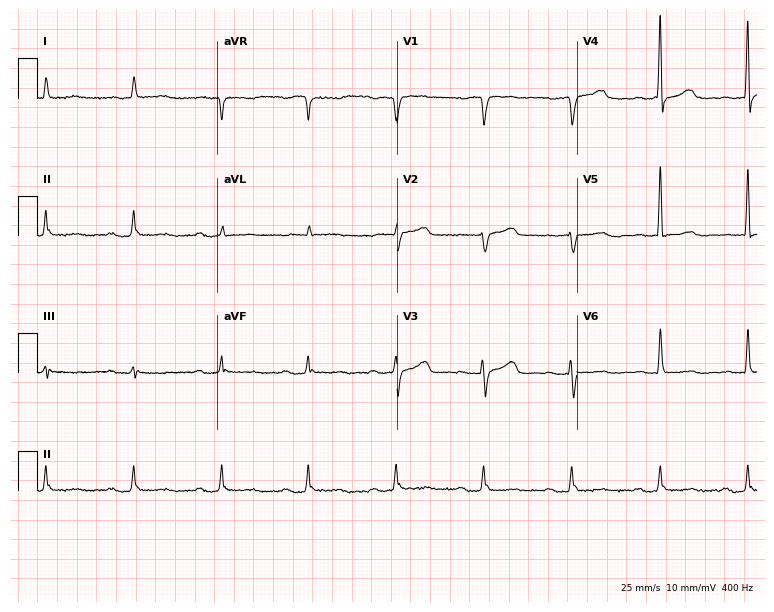
ECG — an 85-year-old male patient. Findings include first-degree AV block.